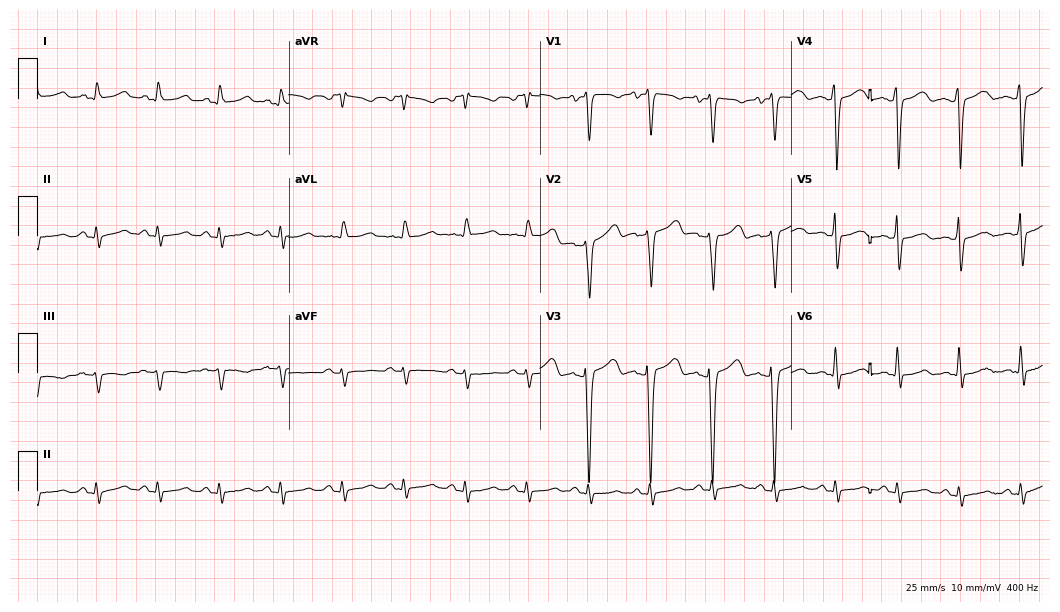
12-lead ECG from a female, 31 years old. No first-degree AV block, right bundle branch block, left bundle branch block, sinus bradycardia, atrial fibrillation or sinus tachycardia recorded for this tracing. Other findings, if any, are not listed.